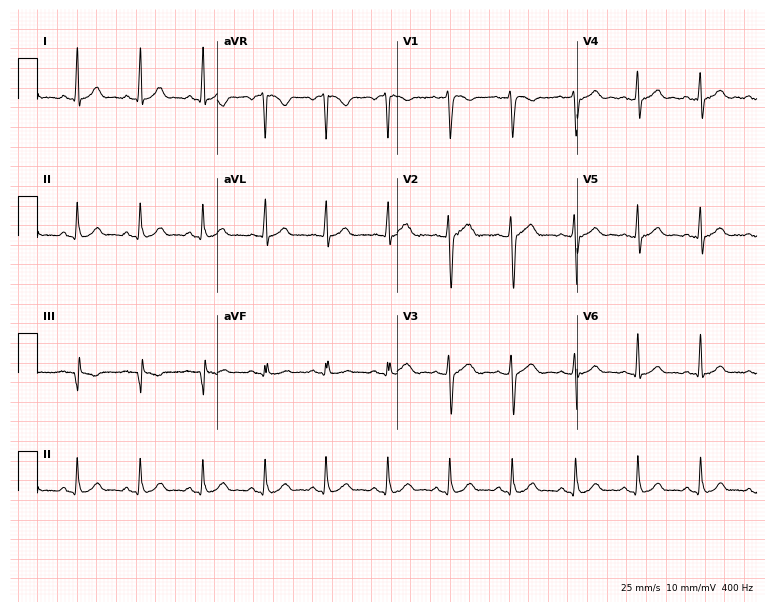
12-lead ECG from a 34-year-old female patient. Screened for six findings — first-degree AV block, right bundle branch block, left bundle branch block, sinus bradycardia, atrial fibrillation, sinus tachycardia — none is recorded. Other findings, if any, are not listed.